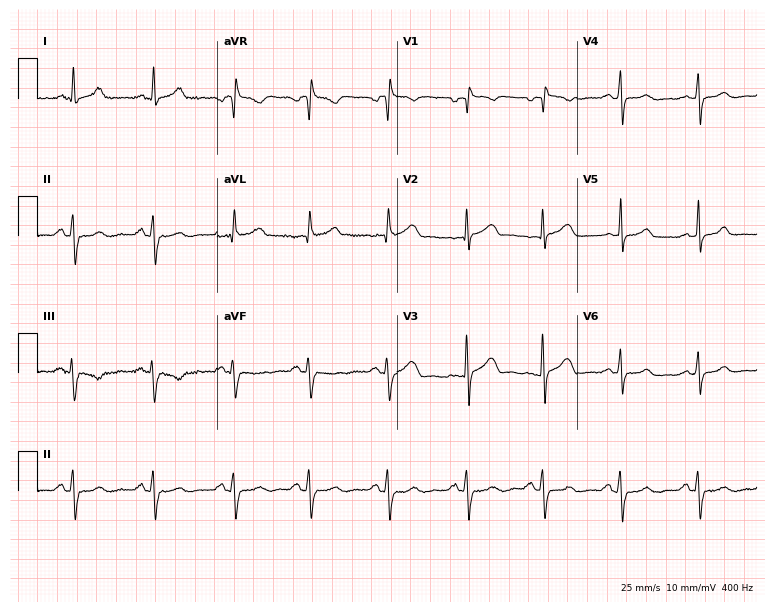
ECG (7.3-second recording at 400 Hz) — a 39-year-old female patient. Screened for six findings — first-degree AV block, right bundle branch block, left bundle branch block, sinus bradycardia, atrial fibrillation, sinus tachycardia — none is recorded.